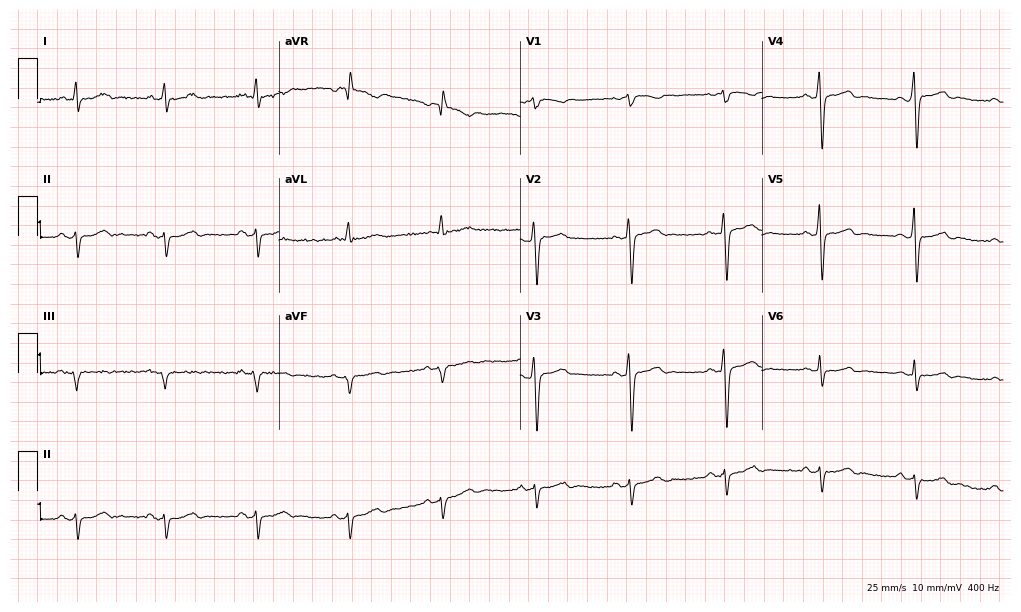
12-lead ECG from a male patient, 69 years old. Screened for six findings — first-degree AV block, right bundle branch block, left bundle branch block, sinus bradycardia, atrial fibrillation, sinus tachycardia — none is recorded.